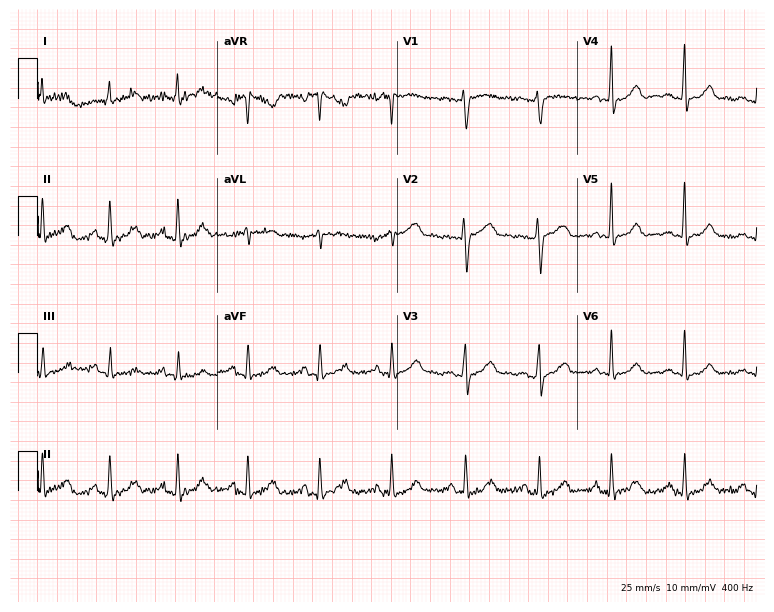
12-lead ECG from a 50-year-old female. Screened for six findings — first-degree AV block, right bundle branch block, left bundle branch block, sinus bradycardia, atrial fibrillation, sinus tachycardia — none is recorded.